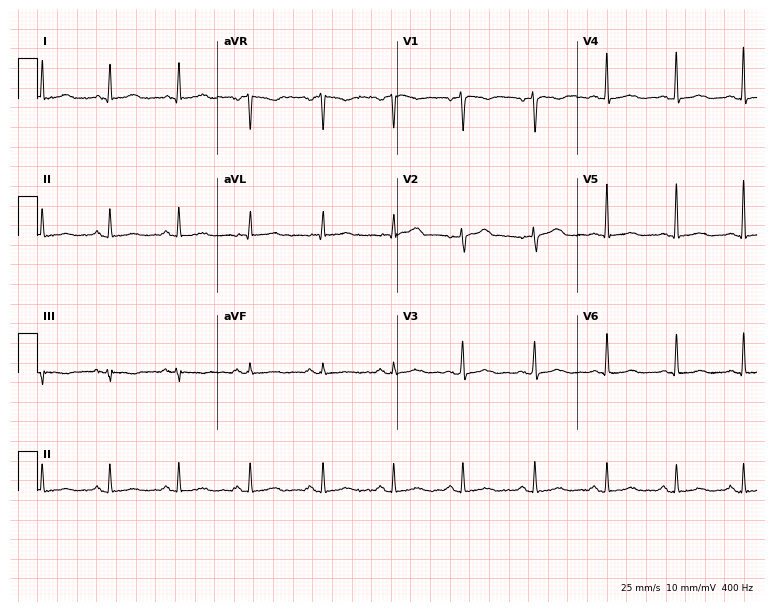
12-lead ECG from a 41-year-old female (7.3-second recording at 400 Hz). No first-degree AV block, right bundle branch block (RBBB), left bundle branch block (LBBB), sinus bradycardia, atrial fibrillation (AF) or sinus tachycardia recorded for this tracing.